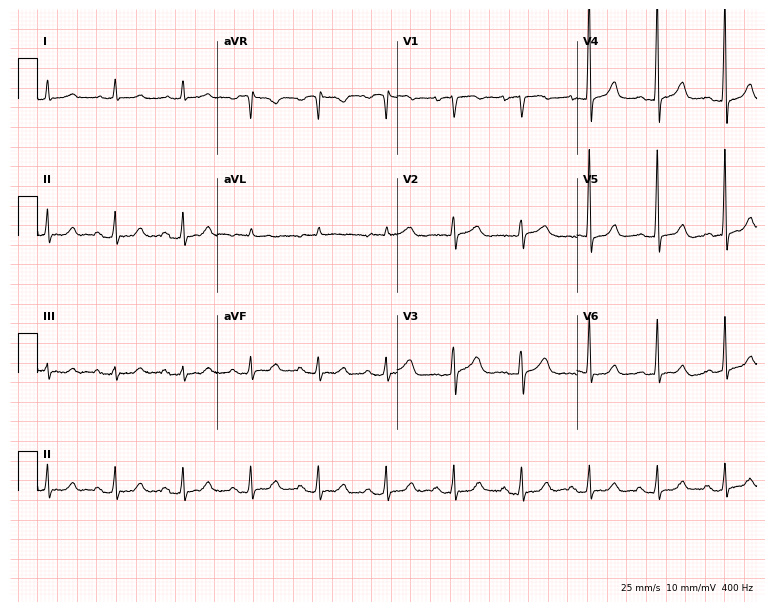
Standard 12-lead ECG recorded from an 85-year-old woman (7.3-second recording at 400 Hz). Read as a normal ECG.